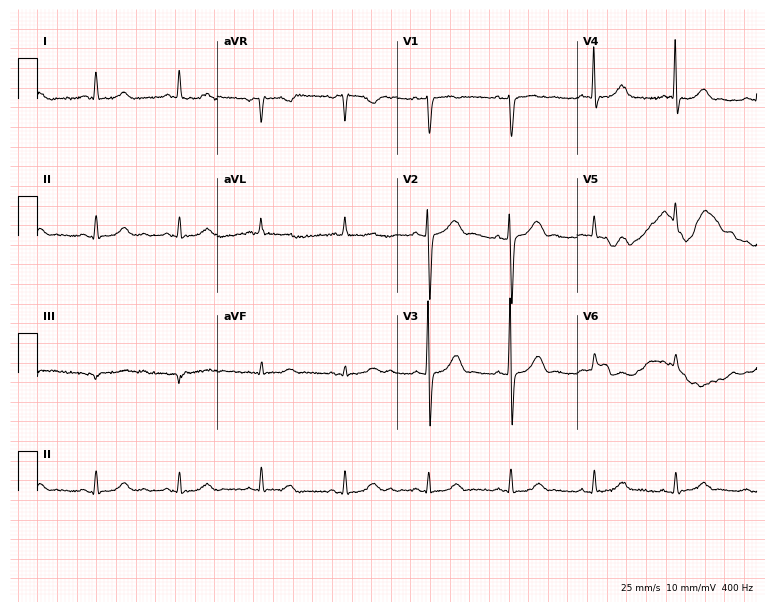
Standard 12-lead ECG recorded from a female patient, 83 years old (7.3-second recording at 400 Hz). None of these six findings is recorded: first-degree AV block, right bundle branch block (RBBB), left bundle branch block (LBBB), sinus bradycardia, atrial fibrillation (AF), sinus tachycardia.